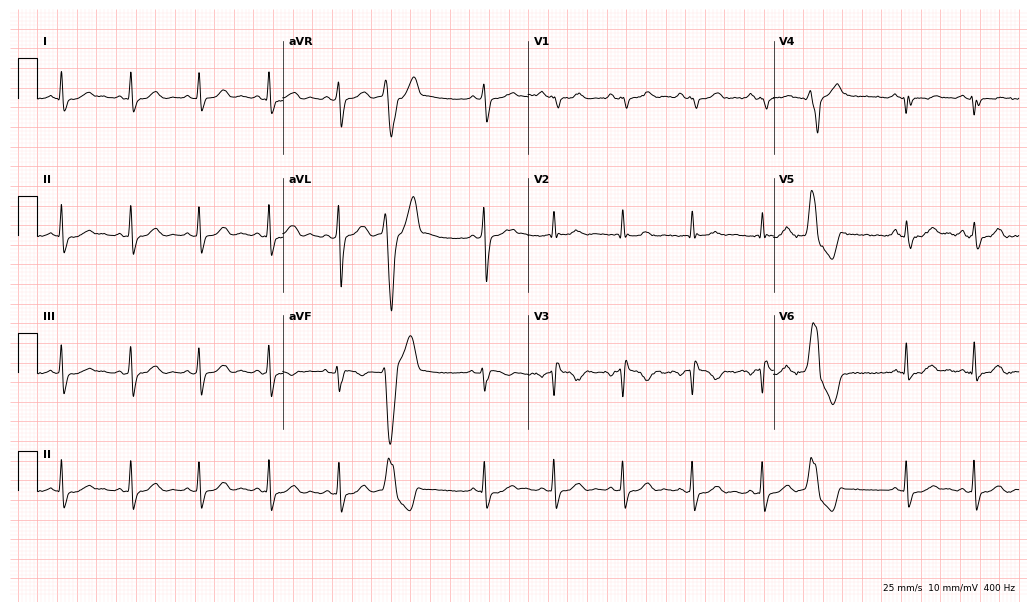
12-lead ECG (10-second recording at 400 Hz) from a man, 57 years old. Screened for six findings — first-degree AV block, right bundle branch block, left bundle branch block, sinus bradycardia, atrial fibrillation, sinus tachycardia — none is recorded.